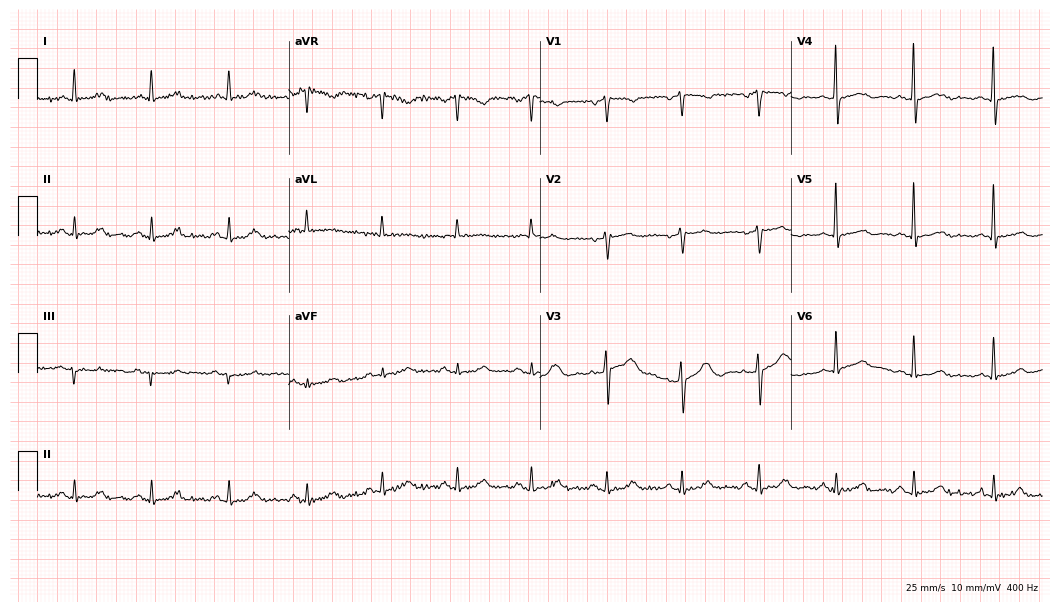
ECG (10.2-second recording at 400 Hz) — a female, 70 years old. Labelled as a normal ECG.